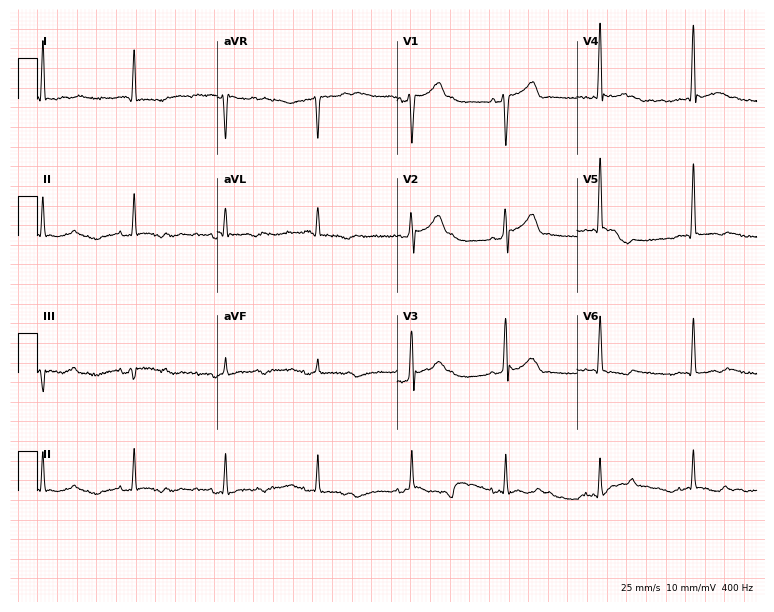
ECG — a 67-year-old male patient. Screened for six findings — first-degree AV block, right bundle branch block, left bundle branch block, sinus bradycardia, atrial fibrillation, sinus tachycardia — none is recorded.